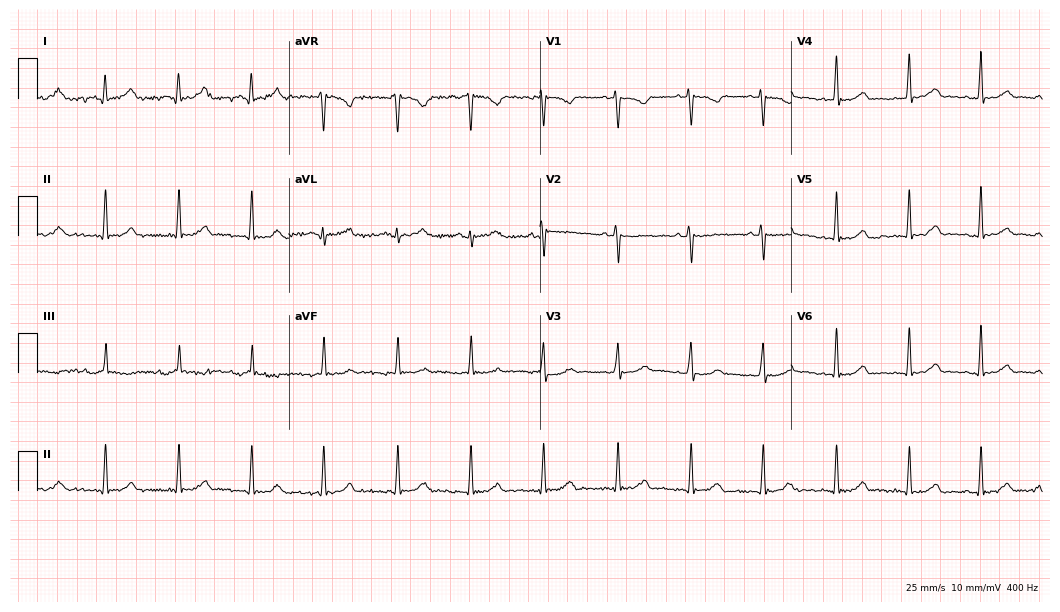
12-lead ECG (10.2-second recording at 400 Hz) from a female patient, 37 years old. Labelled as a normal ECG.